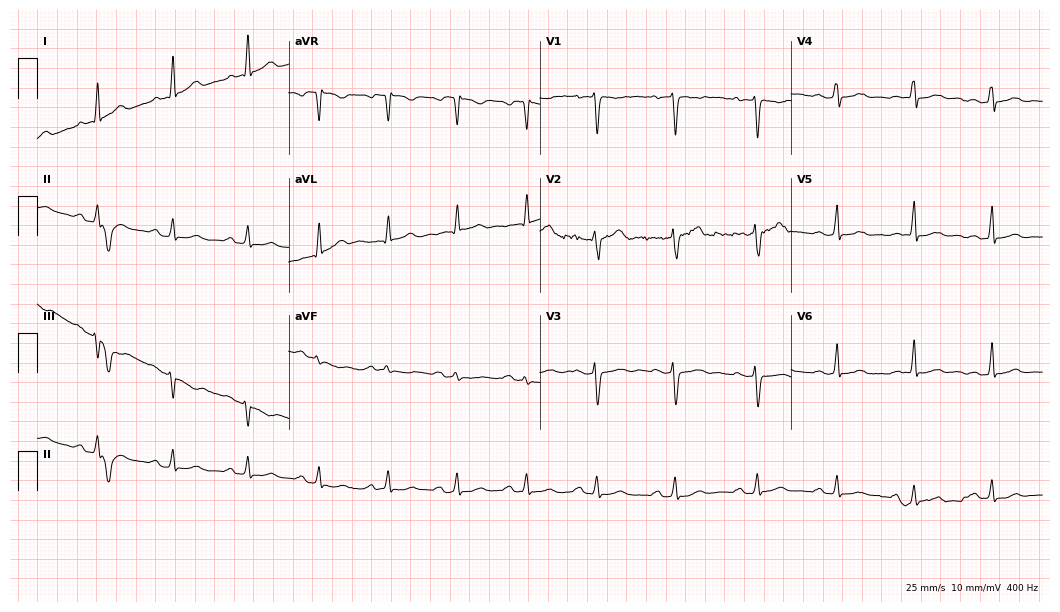
12-lead ECG from a female patient, 30 years old. Recorded interpretation: within normal limits.